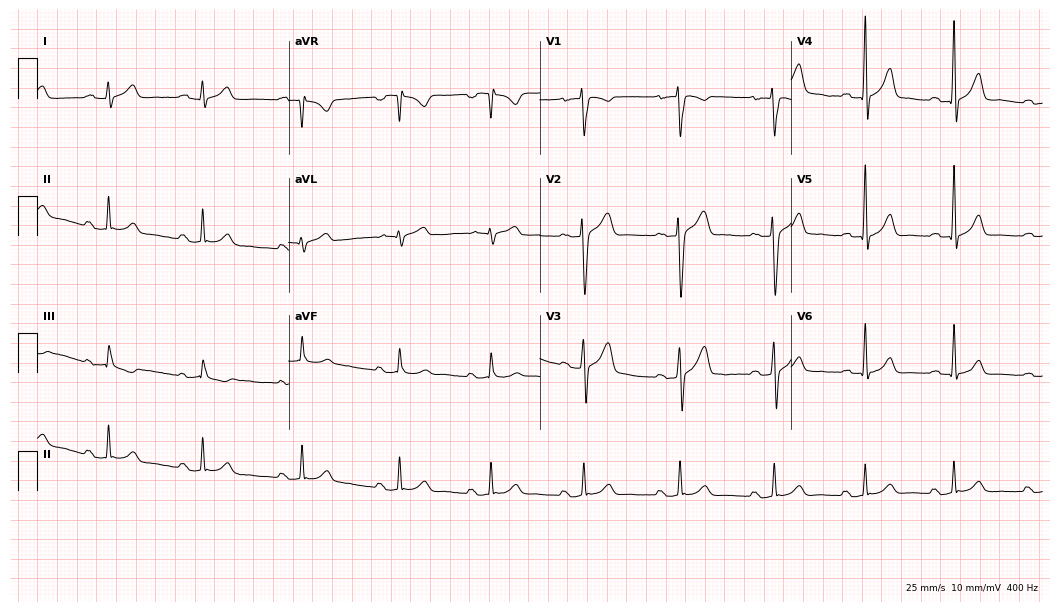
Standard 12-lead ECG recorded from a male patient, 26 years old (10.2-second recording at 400 Hz). Read as a normal ECG.